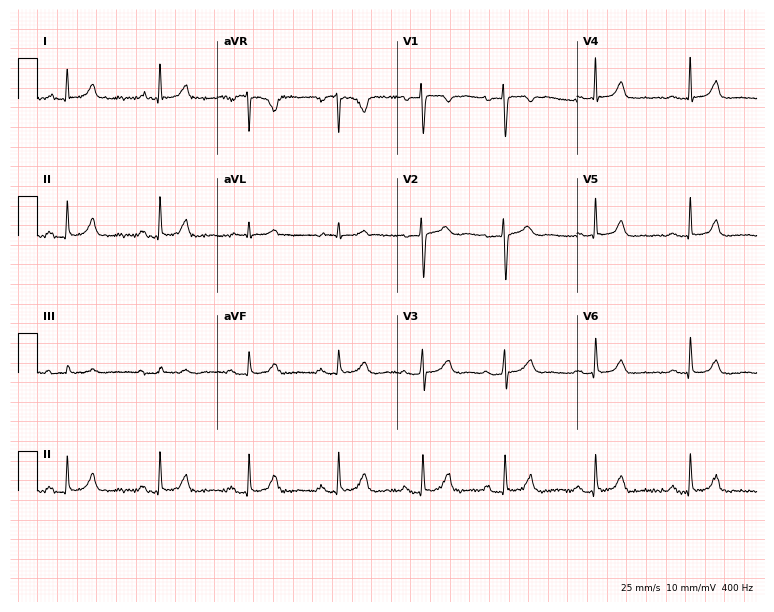
Resting 12-lead electrocardiogram (7.3-second recording at 400 Hz). Patient: a 45-year-old female. Read as a normal ECG.